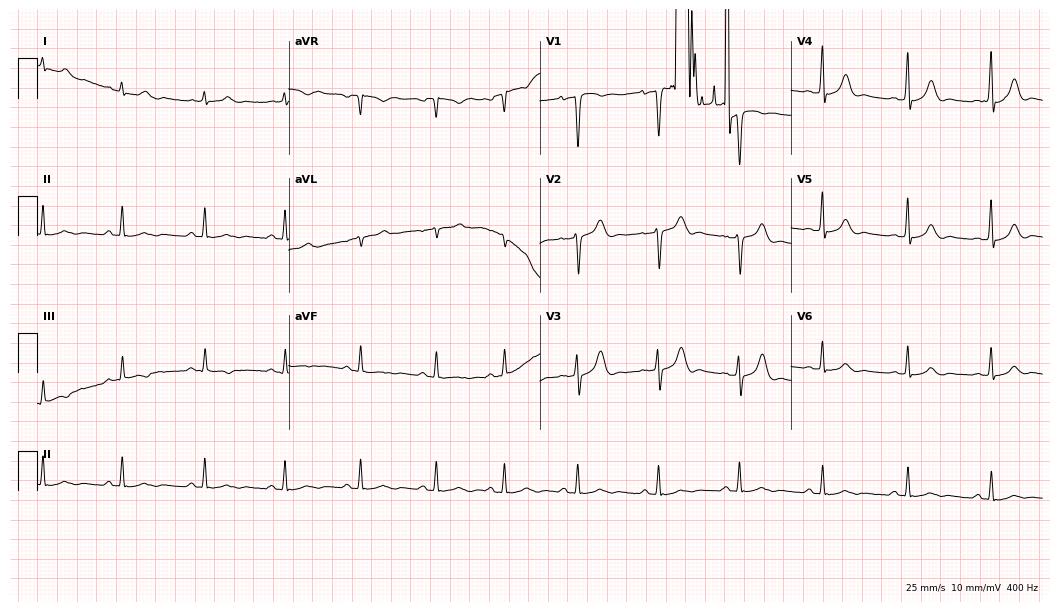
Electrocardiogram (10.2-second recording at 400 Hz), a female, 28 years old. Of the six screened findings (first-degree AV block, right bundle branch block, left bundle branch block, sinus bradycardia, atrial fibrillation, sinus tachycardia), none is recorded.